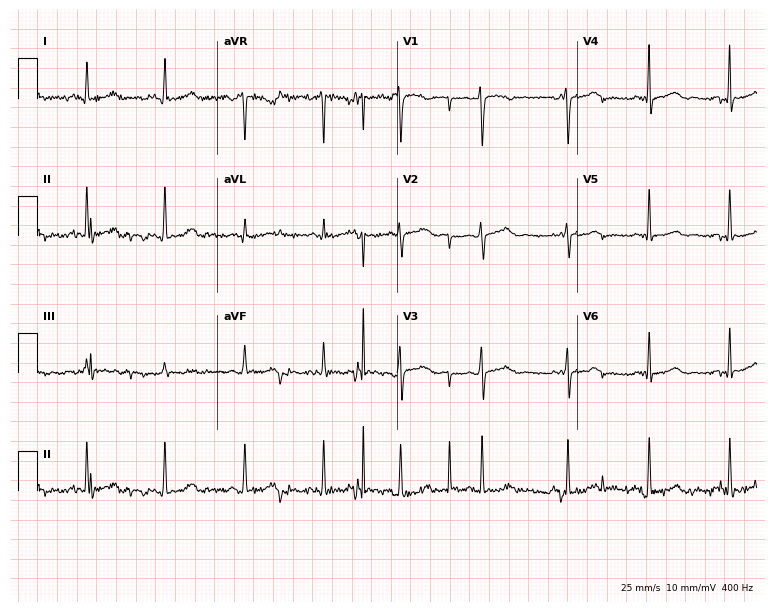
Resting 12-lead electrocardiogram. Patient: a female, 37 years old. None of these six findings is recorded: first-degree AV block, right bundle branch block, left bundle branch block, sinus bradycardia, atrial fibrillation, sinus tachycardia. Findings outside these six are not listed.